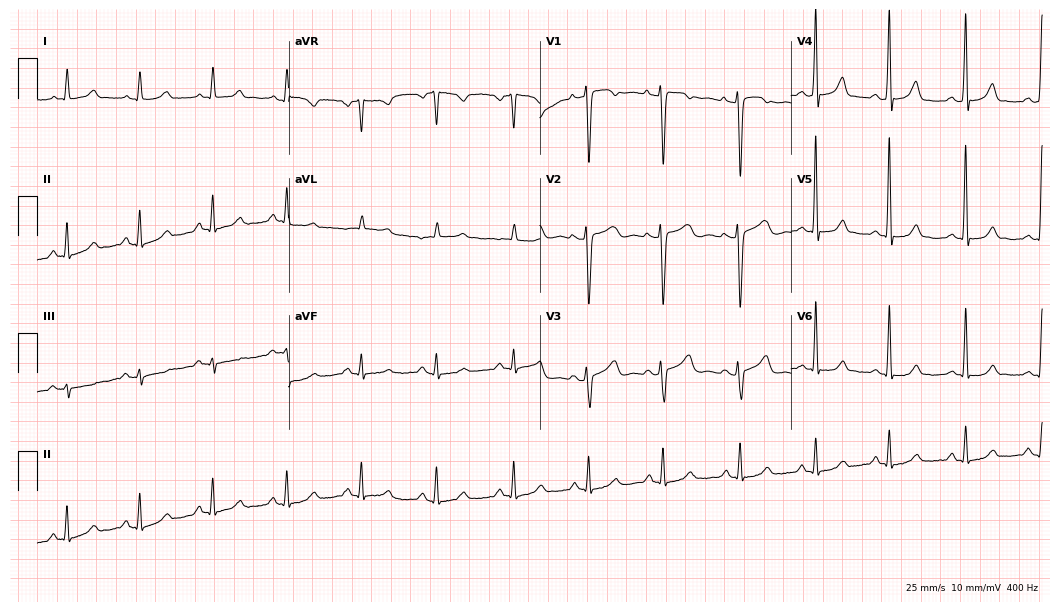
Standard 12-lead ECG recorded from a woman, 34 years old. Read as a normal ECG.